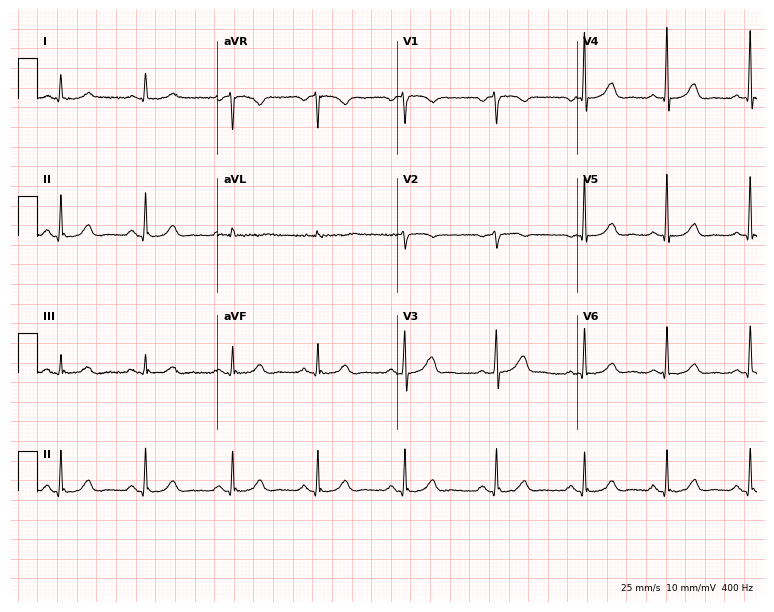
Electrocardiogram (7.3-second recording at 400 Hz), a woman, 60 years old. Overall reading on record: normal ECG.